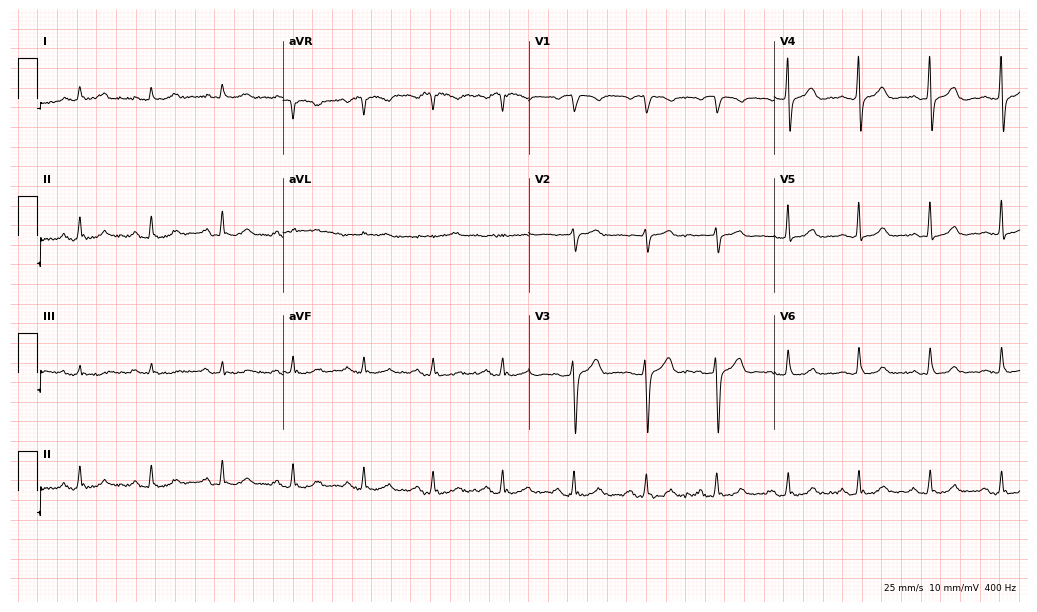
Standard 12-lead ECG recorded from a 58-year-old woman (10-second recording at 400 Hz). None of these six findings is recorded: first-degree AV block, right bundle branch block (RBBB), left bundle branch block (LBBB), sinus bradycardia, atrial fibrillation (AF), sinus tachycardia.